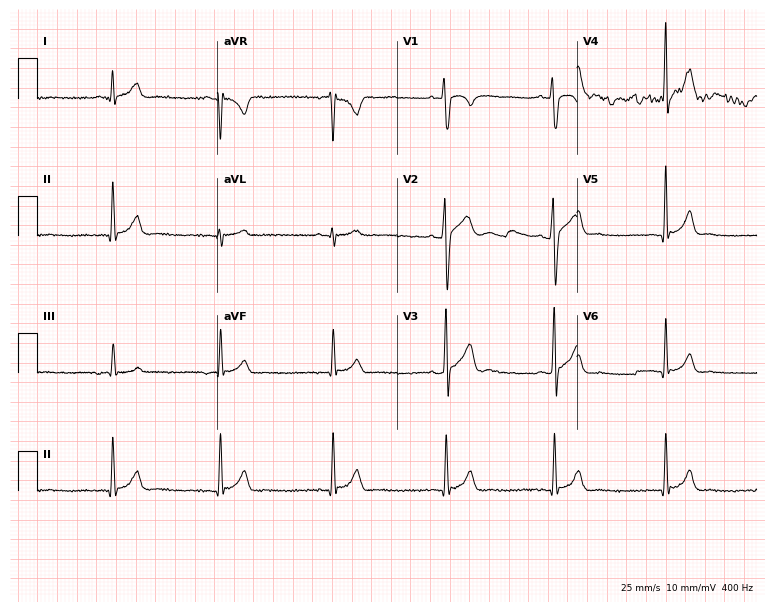
Electrocardiogram, a 27-year-old man. Of the six screened findings (first-degree AV block, right bundle branch block, left bundle branch block, sinus bradycardia, atrial fibrillation, sinus tachycardia), none is recorded.